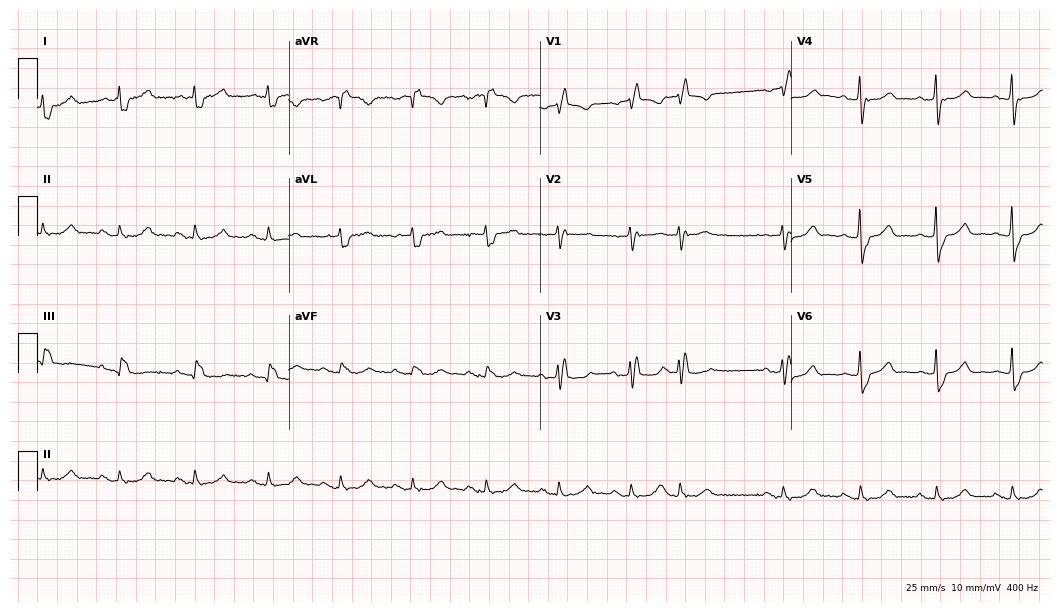
ECG (10.2-second recording at 400 Hz) — a man, 75 years old. Findings include right bundle branch block.